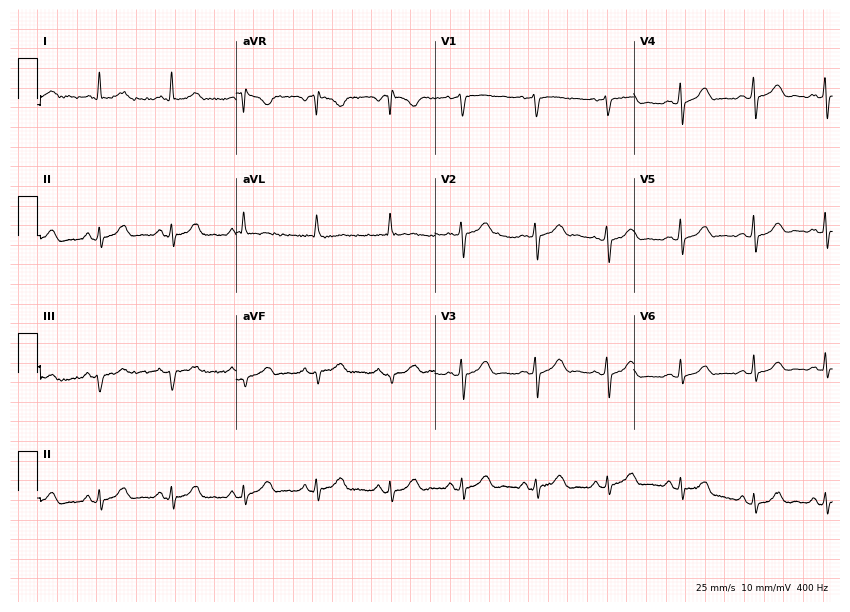
12-lead ECG from a 63-year-old female patient. Recorded interpretation: within normal limits.